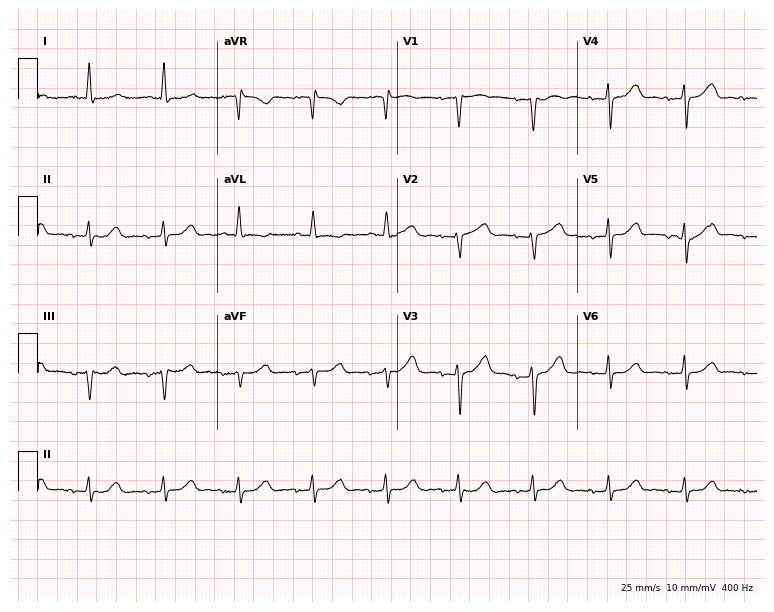
Electrocardiogram, a female, 77 years old. Overall reading on record: normal ECG.